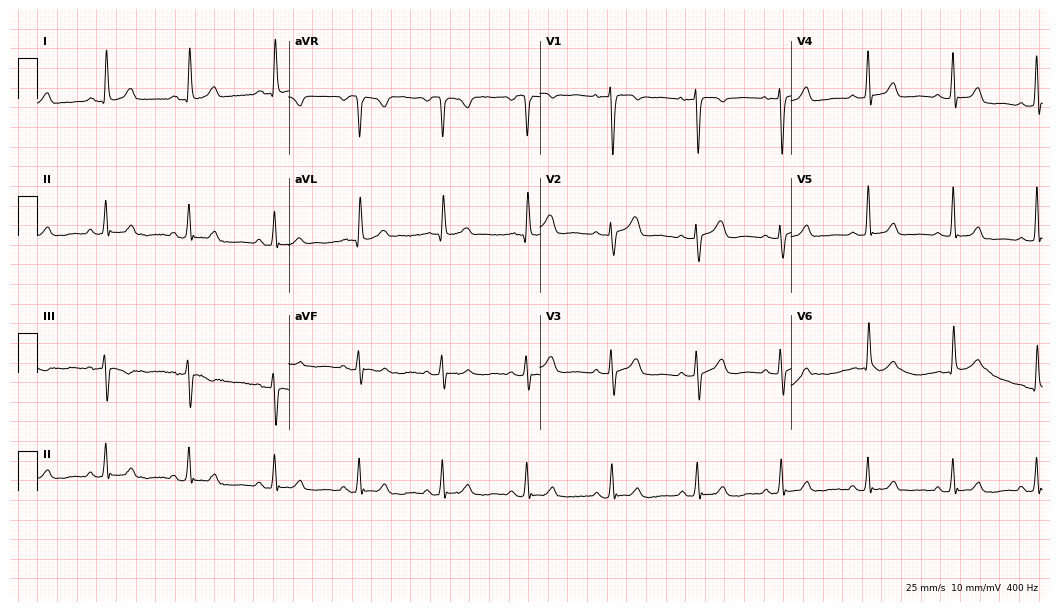
12-lead ECG from a 67-year-old woman. Recorded interpretation: within normal limits.